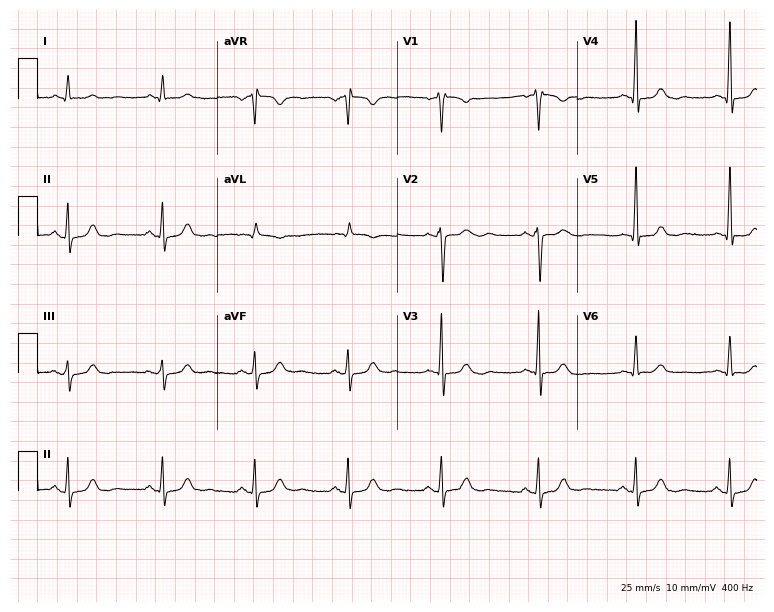
12-lead ECG from a man, 70 years old. Recorded interpretation: within normal limits.